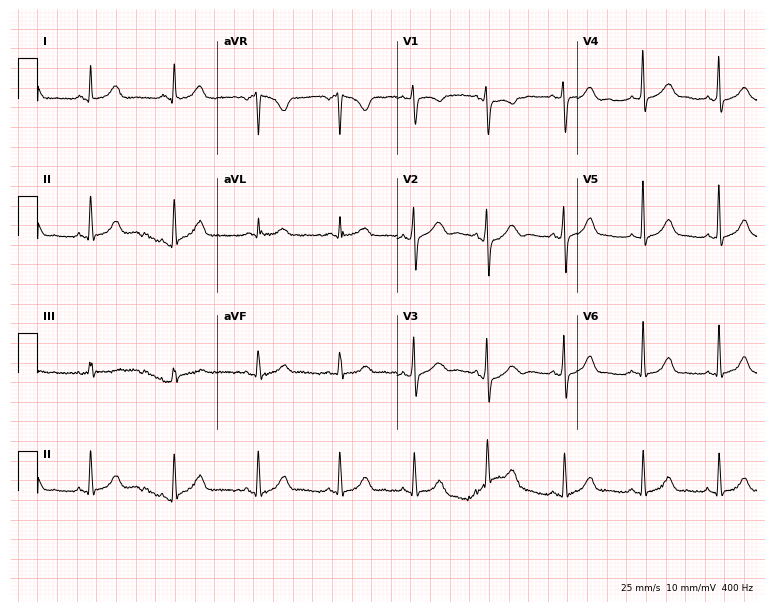
Resting 12-lead electrocardiogram (7.3-second recording at 400 Hz). Patient: a female, 20 years old. None of these six findings is recorded: first-degree AV block, right bundle branch block, left bundle branch block, sinus bradycardia, atrial fibrillation, sinus tachycardia.